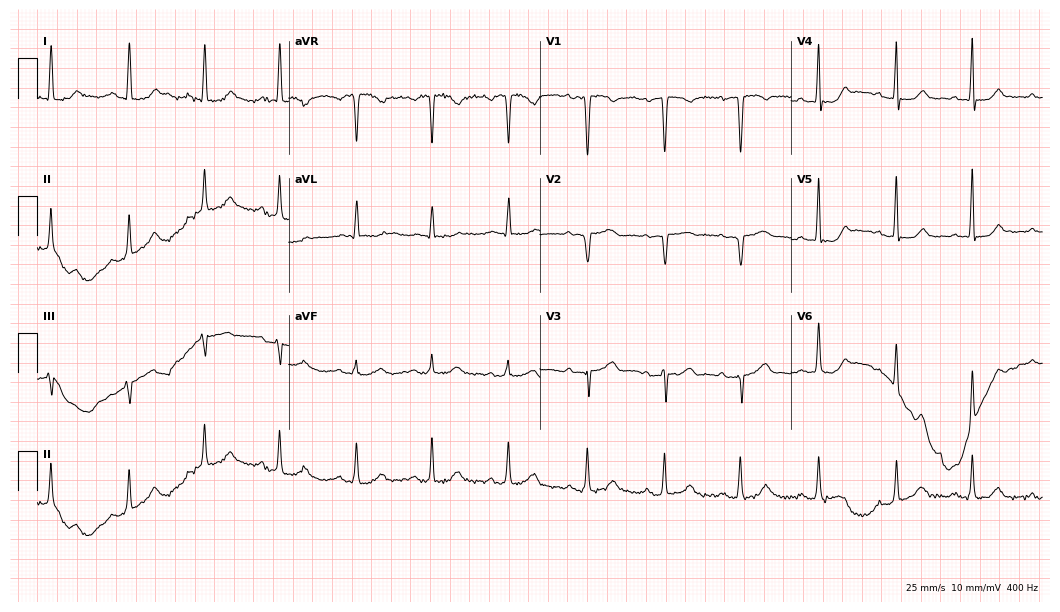
Resting 12-lead electrocardiogram. Patient: a woman, 64 years old. None of these six findings is recorded: first-degree AV block, right bundle branch block (RBBB), left bundle branch block (LBBB), sinus bradycardia, atrial fibrillation (AF), sinus tachycardia.